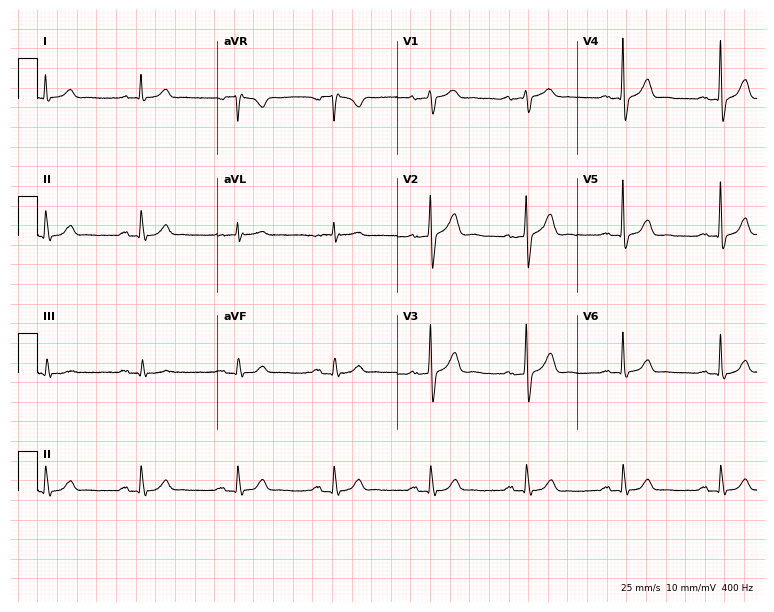
12-lead ECG (7.3-second recording at 400 Hz) from a male, 74 years old. Labelled as a normal ECG.